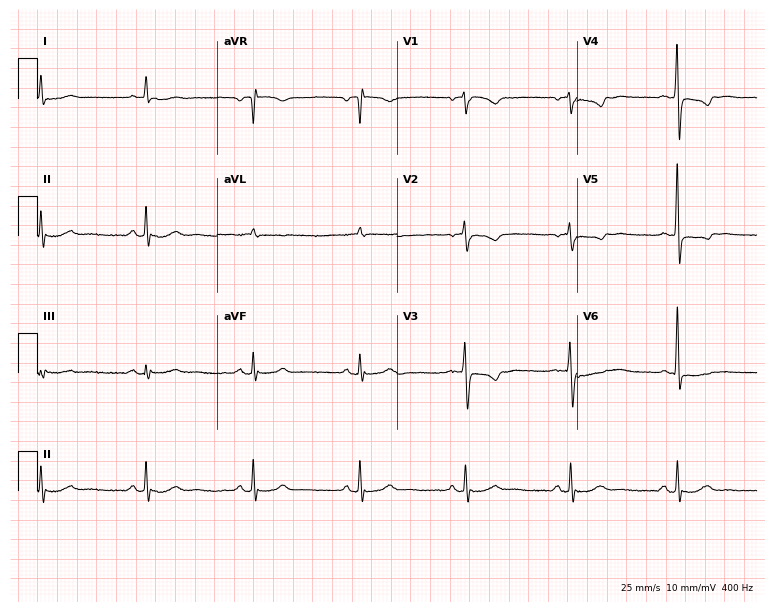
Resting 12-lead electrocardiogram. Patient: a woman, 67 years old. None of these six findings is recorded: first-degree AV block, right bundle branch block, left bundle branch block, sinus bradycardia, atrial fibrillation, sinus tachycardia. Findings outside these six are not listed.